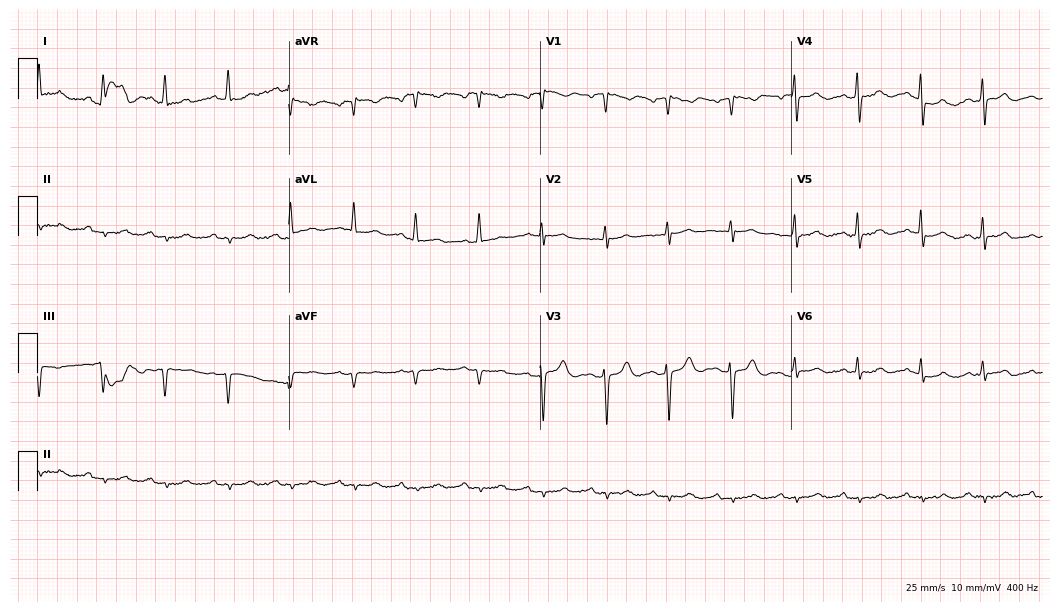
Resting 12-lead electrocardiogram (10.2-second recording at 400 Hz). Patient: a 77-year-old male. None of these six findings is recorded: first-degree AV block, right bundle branch block, left bundle branch block, sinus bradycardia, atrial fibrillation, sinus tachycardia.